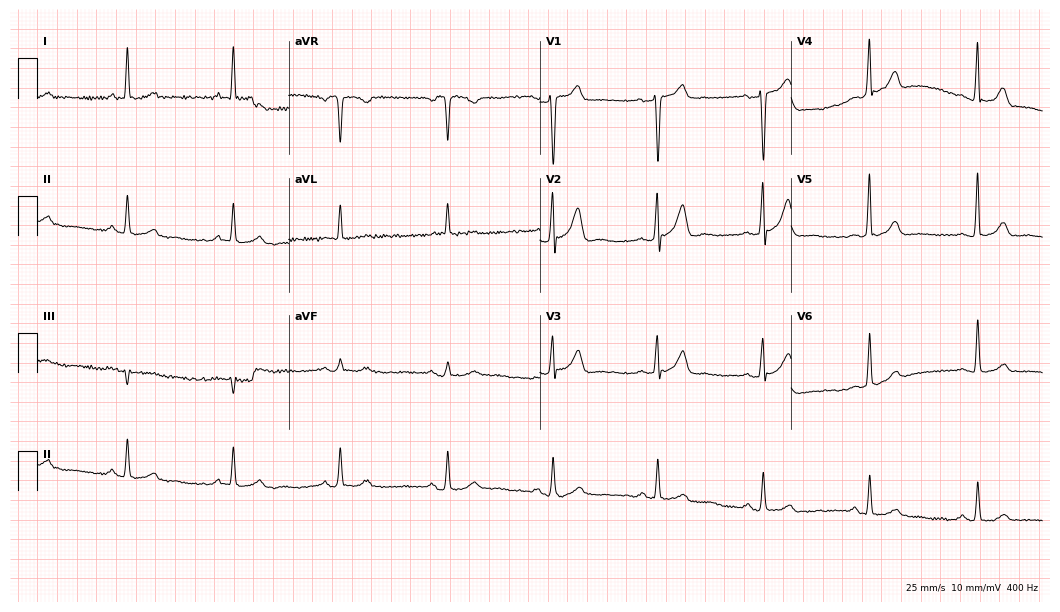
Standard 12-lead ECG recorded from a 54-year-old man. Read as a normal ECG.